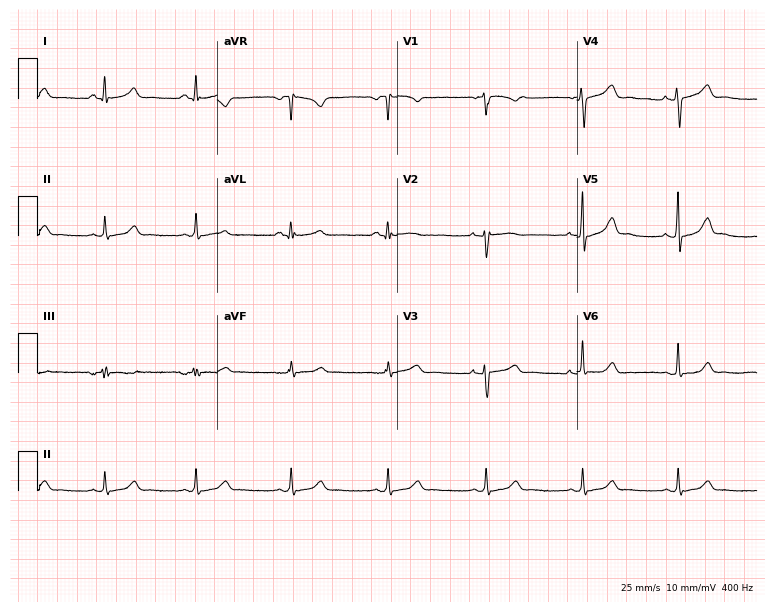
12-lead ECG from a 31-year-old female patient (7.3-second recording at 400 Hz). Recorded interpretation: within normal limits.